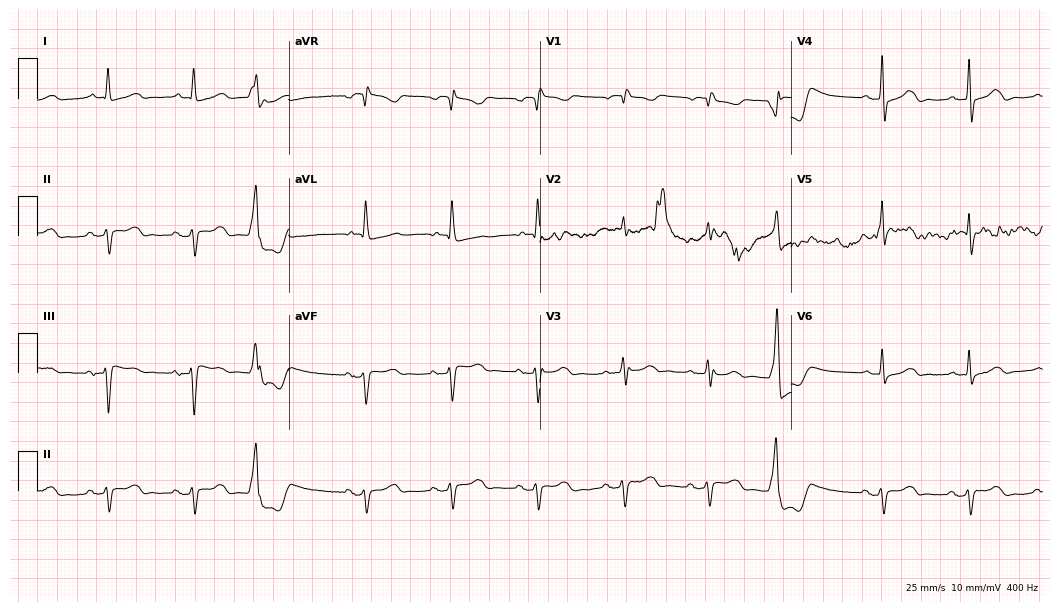
Electrocardiogram (10.2-second recording at 400 Hz), an 85-year-old female patient. Of the six screened findings (first-degree AV block, right bundle branch block (RBBB), left bundle branch block (LBBB), sinus bradycardia, atrial fibrillation (AF), sinus tachycardia), none is recorded. Only these six findings were labelled.